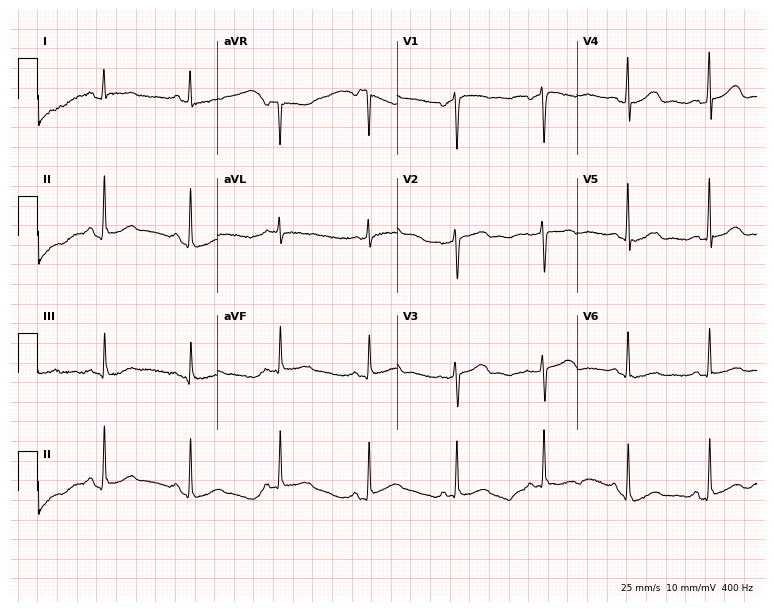
ECG (7.3-second recording at 400 Hz) — a 54-year-old female patient. Screened for six findings — first-degree AV block, right bundle branch block (RBBB), left bundle branch block (LBBB), sinus bradycardia, atrial fibrillation (AF), sinus tachycardia — none is recorded.